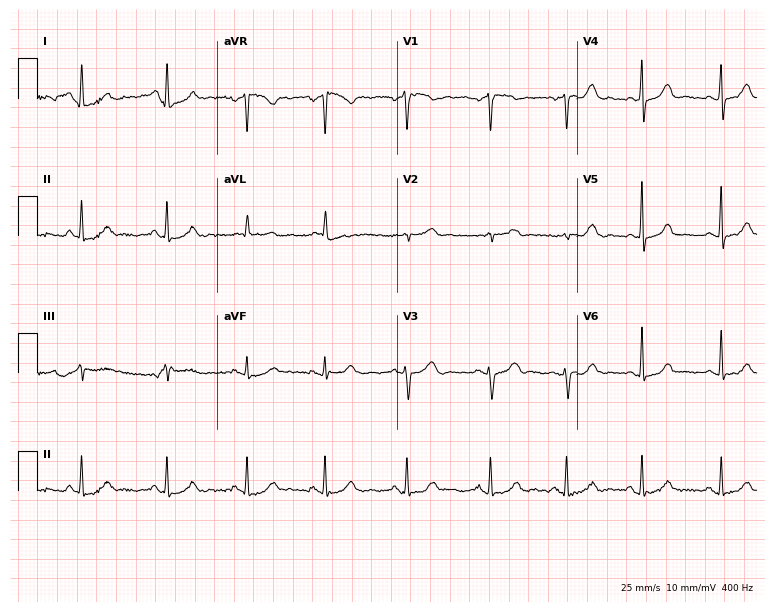
Standard 12-lead ECG recorded from a female patient, 49 years old. None of these six findings is recorded: first-degree AV block, right bundle branch block, left bundle branch block, sinus bradycardia, atrial fibrillation, sinus tachycardia. Other findings, if any, are not listed.